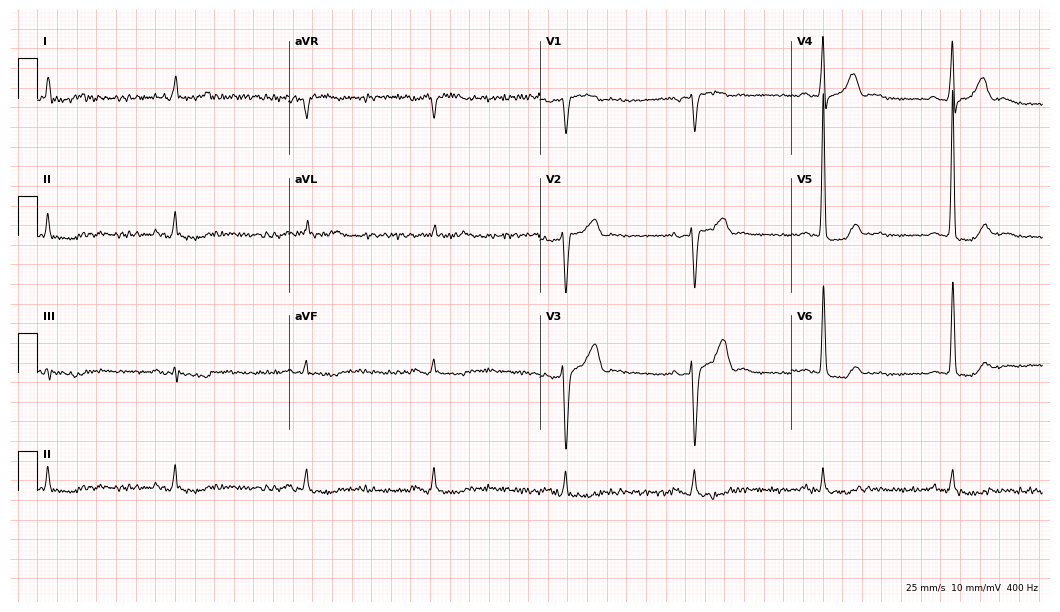
12-lead ECG from a male, 78 years old (10.2-second recording at 400 Hz). No first-degree AV block, right bundle branch block, left bundle branch block, sinus bradycardia, atrial fibrillation or sinus tachycardia recorded for this tracing. Other findings, if any, are not listed.